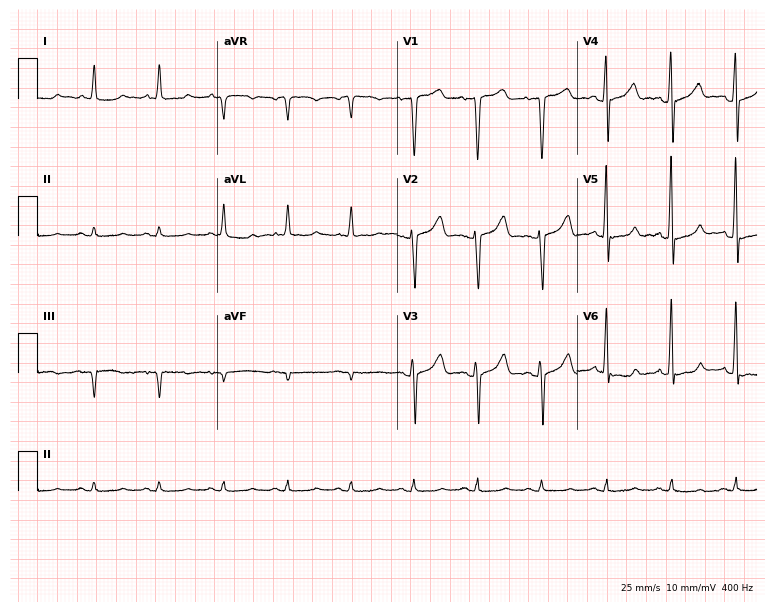
Standard 12-lead ECG recorded from a 57-year-old female (7.3-second recording at 400 Hz). Read as a normal ECG.